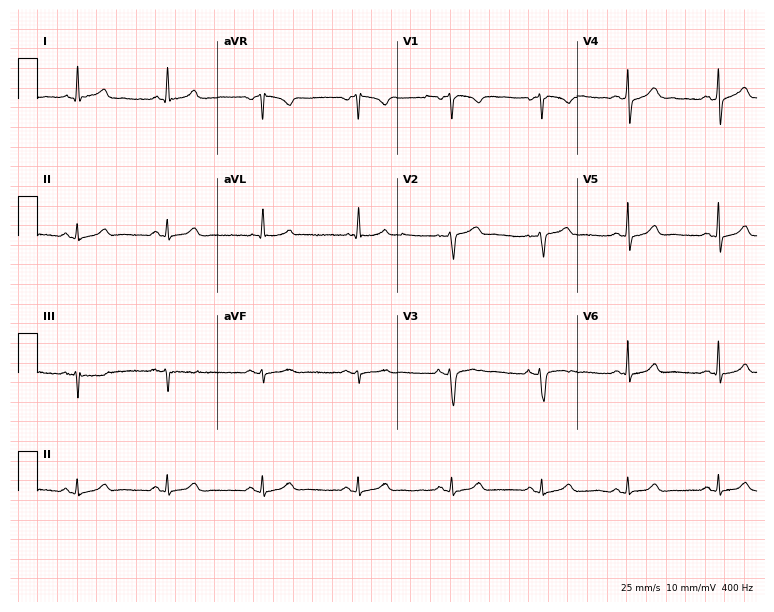
Standard 12-lead ECG recorded from a man, 65 years old (7.3-second recording at 400 Hz). None of these six findings is recorded: first-degree AV block, right bundle branch block, left bundle branch block, sinus bradycardia, atrial fibrillation, sinus tachycardia. Findings outside these six are not listed.